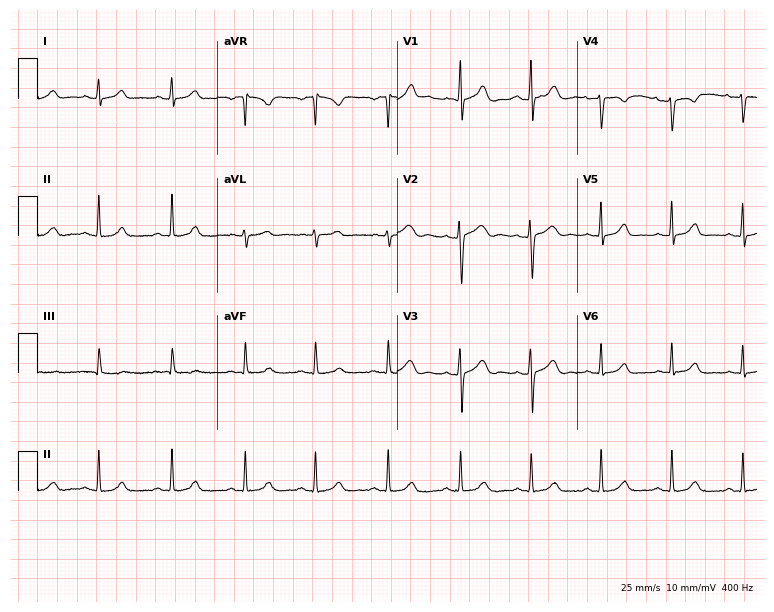
Standard 12-lead ECG recorded from a woman, 27 years old. Read as a normal ECG.